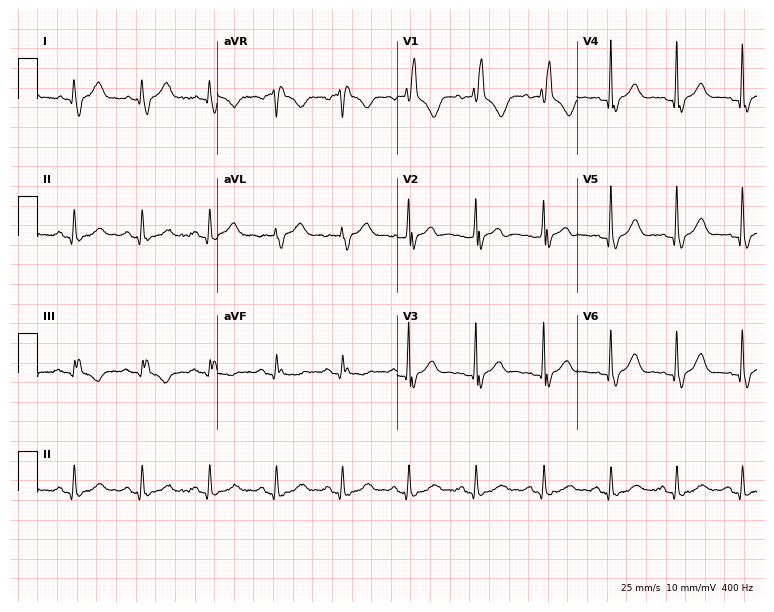
Resting 12-lead electrocardiogram (7.3-second recording at 400 Hz). Patient: a male, 56 years old. The tracing shows right bundle branch block.